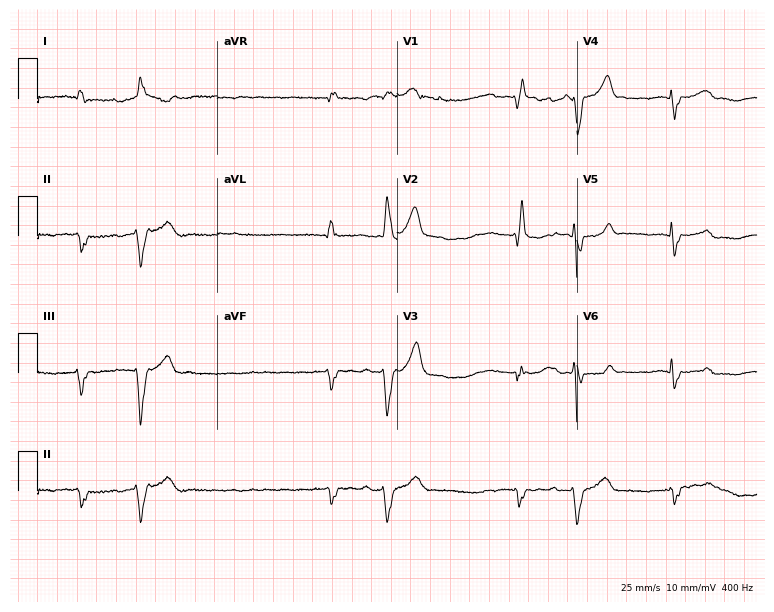
12-lead ECG (7.3-second recording at 400 Hz) from a female, 83 years old. Findings include right bundle branch block, atrial fibrillation.